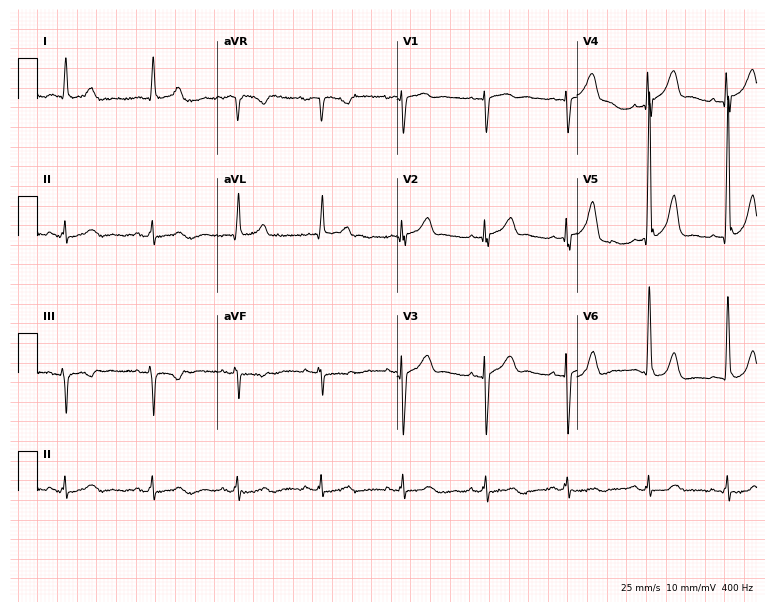
12-lead ECG from an 85-year-old man. Screened for six findings — first-degree AV block, right bundle branch block, left bundle branch block, sinus bradycardia, atrial fibrillation, sinus tachycardia — none is recorded. Only these six findings were labelled.